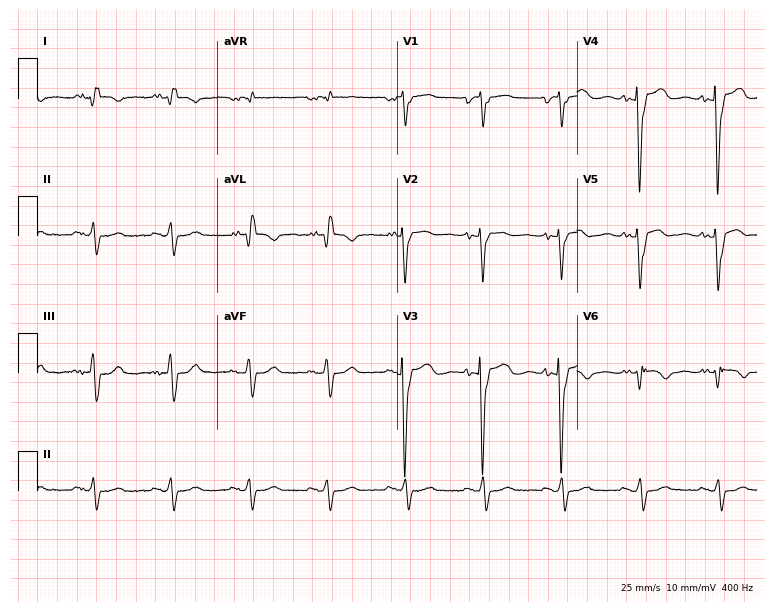
12-lead ECG from a woman, 42 years old (7.3-second recording at 400 Hz). No first-degree AV block, right bundle branch block (RBBB), left bundle branch block (LBBB), sinus bradycardia, atrial fibrillation (AF) or sinus tachycardia recorded for this tracing.